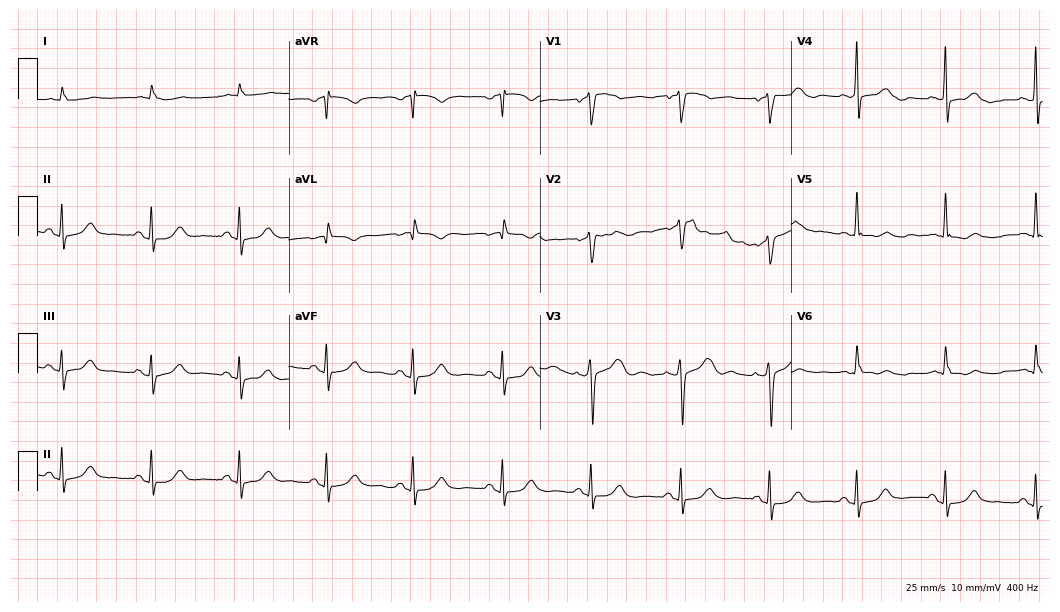
Electrocardiogram, a man, 84 years old. Overall reading on record: normal ECG.